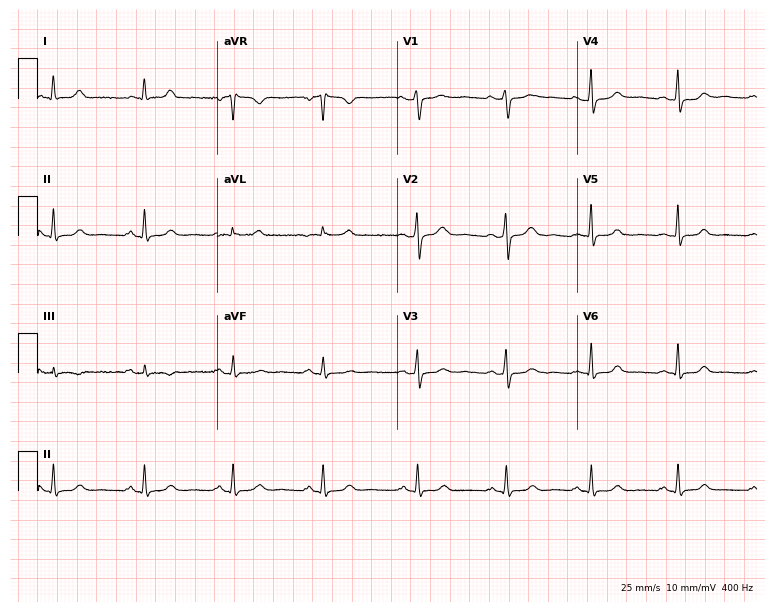
12-lead ECG from a 41-year-old female patient. No first-degree AV block, right bundle branch block (RBBB), left bundle branch block (LBBB), sinus bradycardia, atrial fibrillation (AF) or sinus tachycardia recorded for this tracing. Other findings, if any, are not listed.